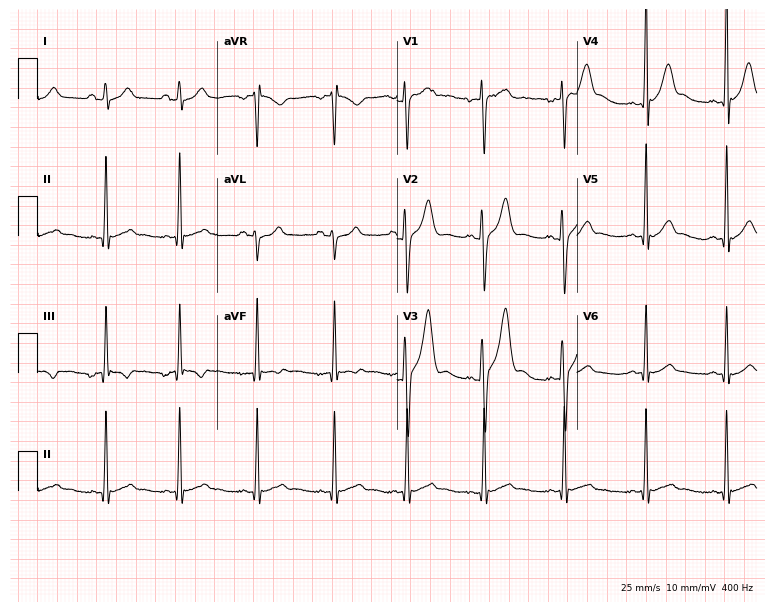
ECG — a male, 21 years old. Labelled as a normal ECG.